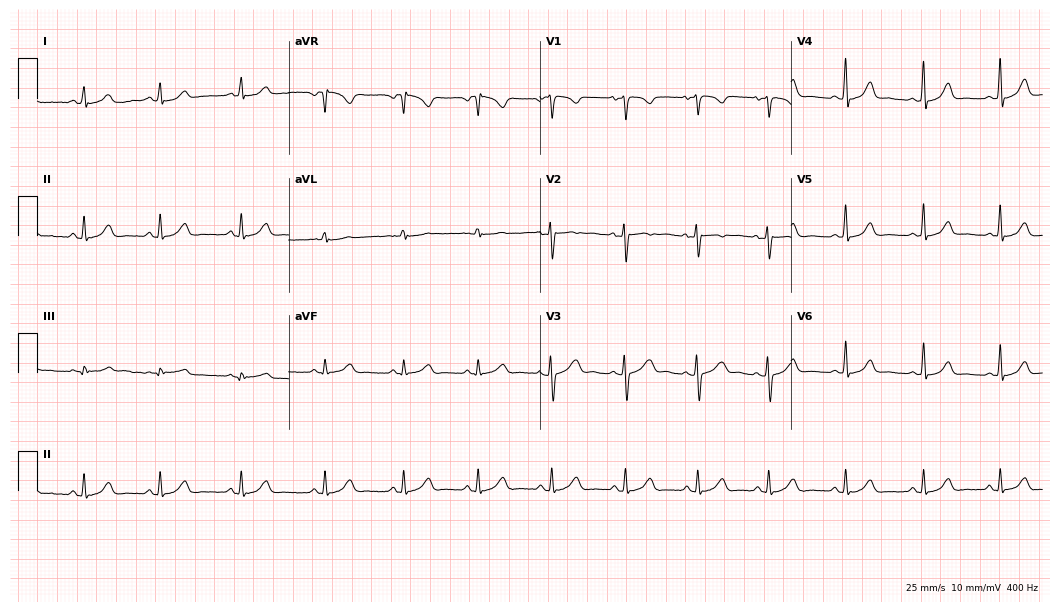
12-lead ECG (10.2-second recording at 400 Hz) from a woman, 17 years old. Screened for six findings — first-degree AV block, right bundle branch block, left bundle branch block, sinus bradycardia, atrial fibrillation, sinus tachycardia — none is recorded.